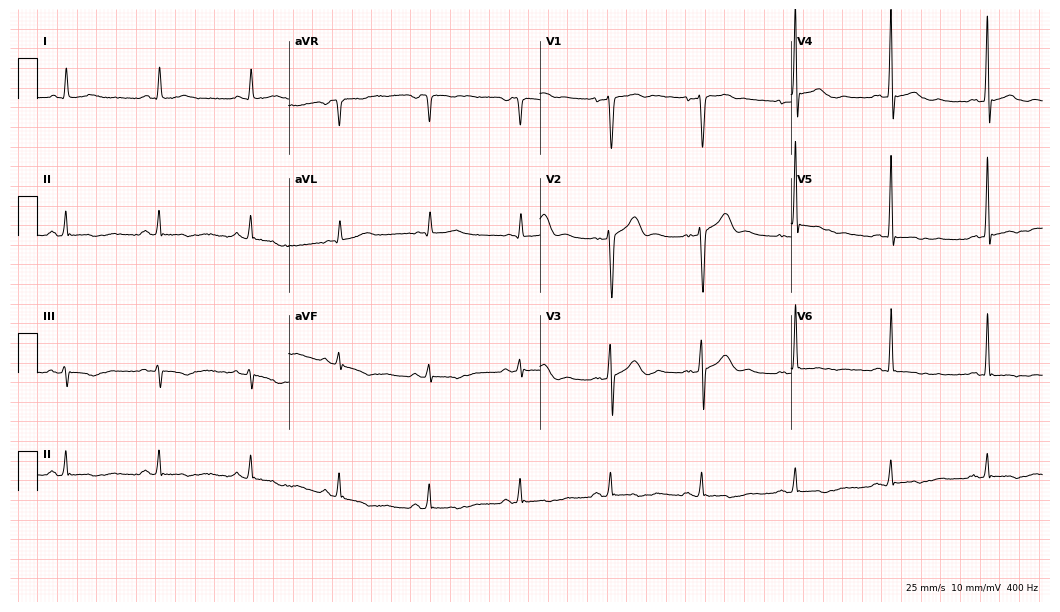
Standard 12-lead ECG recorded from a 51-year-old man. None of these six findings is recorded: first-degree AV block, right bundle branch block, left bundle branch block, sinus bradycardia, atrial fibrillation, sinus tachycardia. Other findings, if any, are not listed.